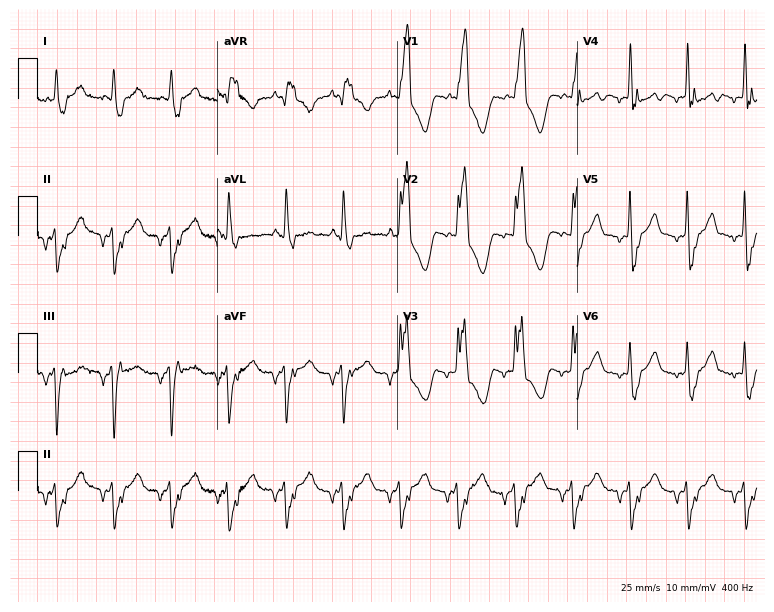
12-lead ECG from a 58-year-old woman (7.3-second recording at 400 Hz). No first-degree AV block, right bundle branch block, left bundle branch block, sinus bradycardia, atrial fibrillation or sinus tachycardia recorded for this tracing. Findings outside these six are not listed.